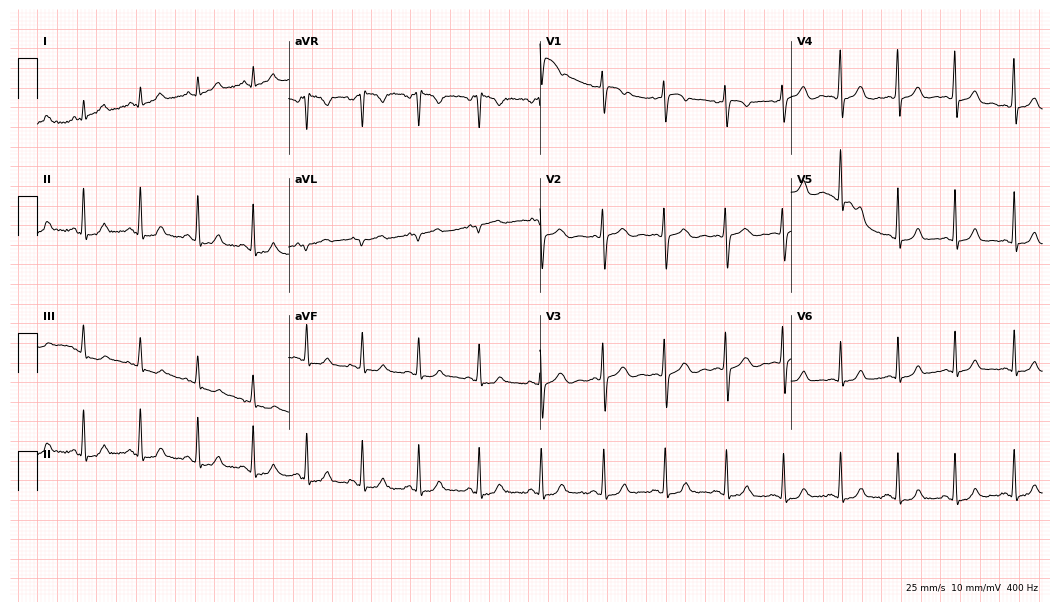
Standard 12-lead ECG recorded from a female patient, 19 years old. Read as a normal ECG.